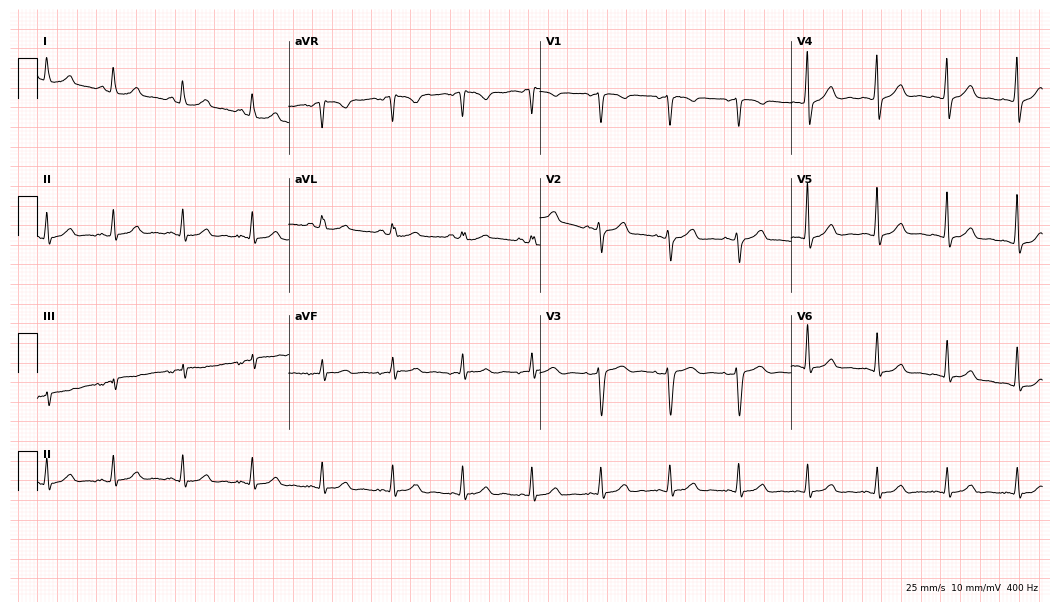
12-lead ECG from a 46-year-old female patient. Screened for six findings — first-degree AV block, right bundle branch block, left bundle branch block, sinus bradycardia, atrial fibrillation, sinus tachycardia — none is recorded. Findings outside these six are not listed.